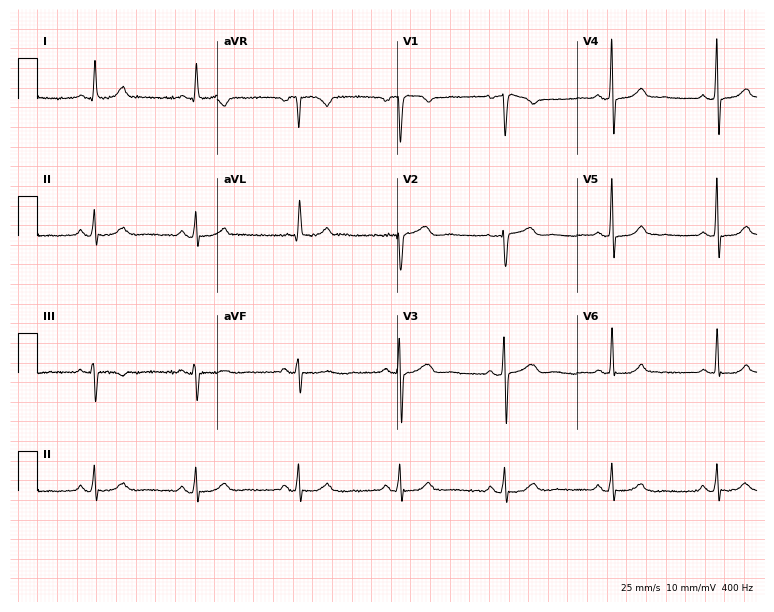
Standard 12-lead ECG recorded from a 47-year-old woman (7.3-second recording at 400 Hz). Read as a normal ECG.